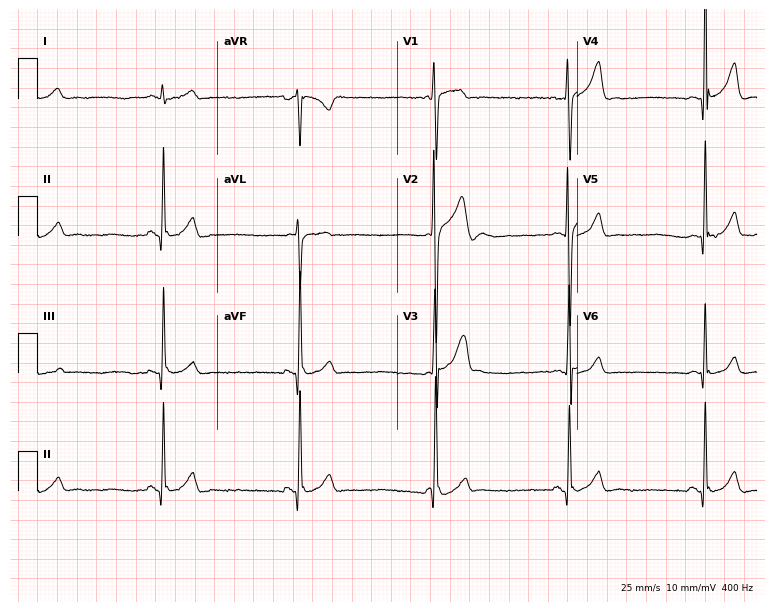
Standard 12-lead ECG recorded from a male, 20 years old (7.3-second recording at 400 Hz). The tracing shows sinus bradycardia (a sinus rate of 50 beats per minute or less).